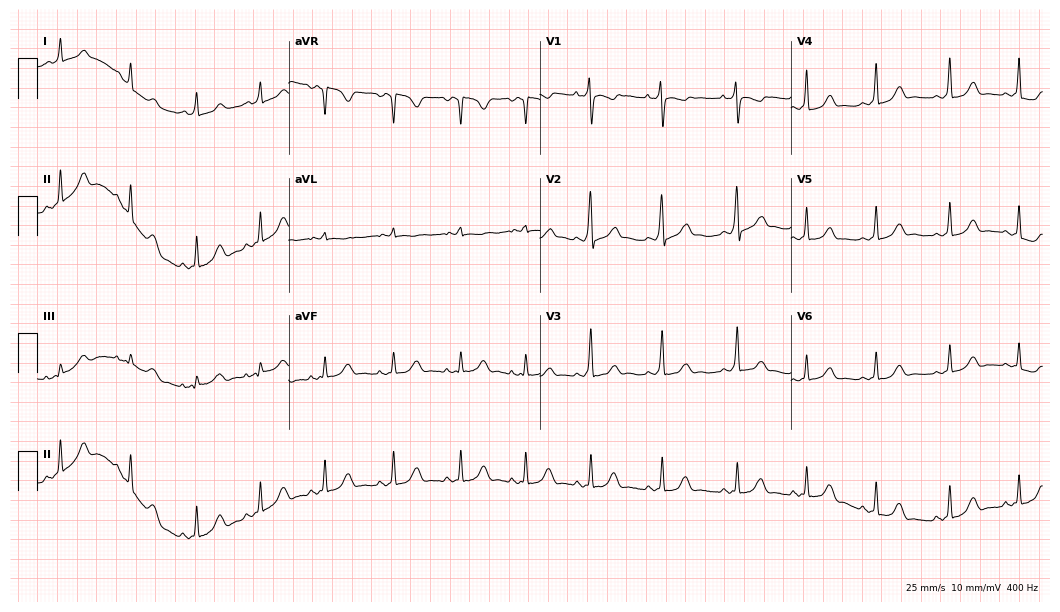
Standard 12-lead ECG recorded from a female, 17 years old. Read as a normal ECG.